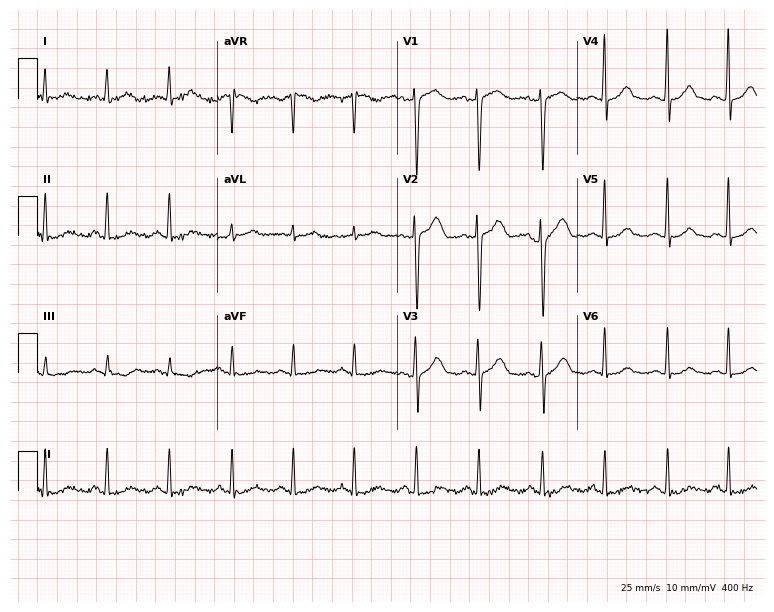
Standard 12-lead ECG recorded from a female, 54 years old. None of these six findings is recorded: first-degree AV block, right bundle branch block (RBBB), left bundle branch block (LBBB), sinus bradycardia, atrial fibrillation (AF), sinus tachycardia.